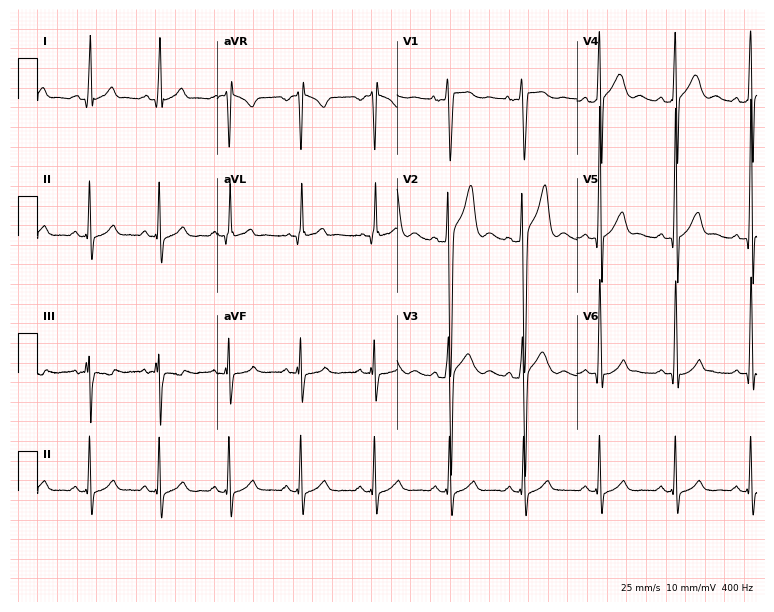
12-lead ECG from a 23-year-old male. Recorded interpretation: within normal limits.